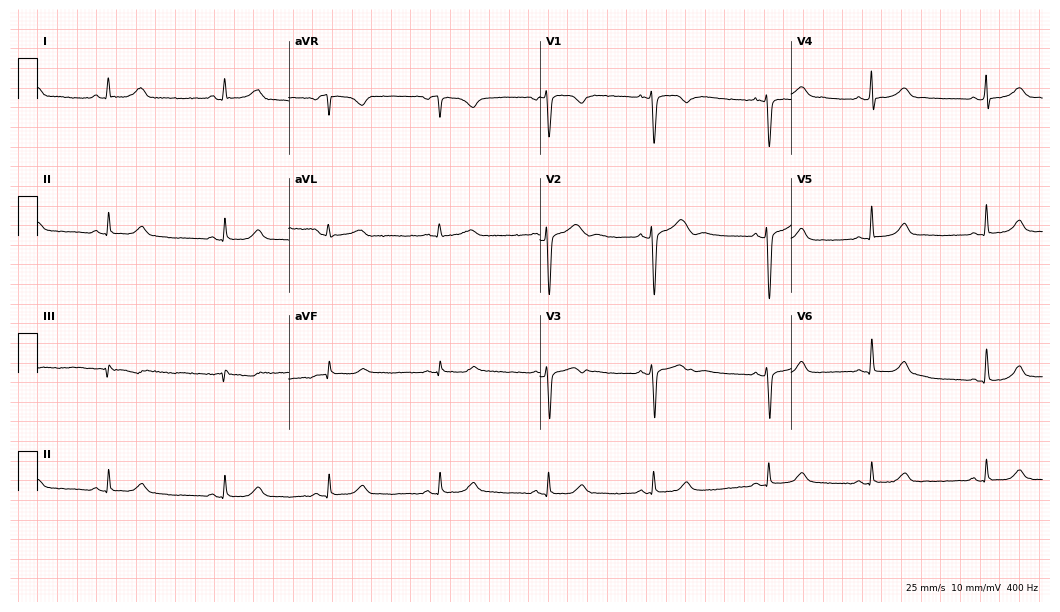
12-lead ECG (10.2-second recording at 400 Hz) from a female patient, 21 years old. Labelled as a normal ECG.